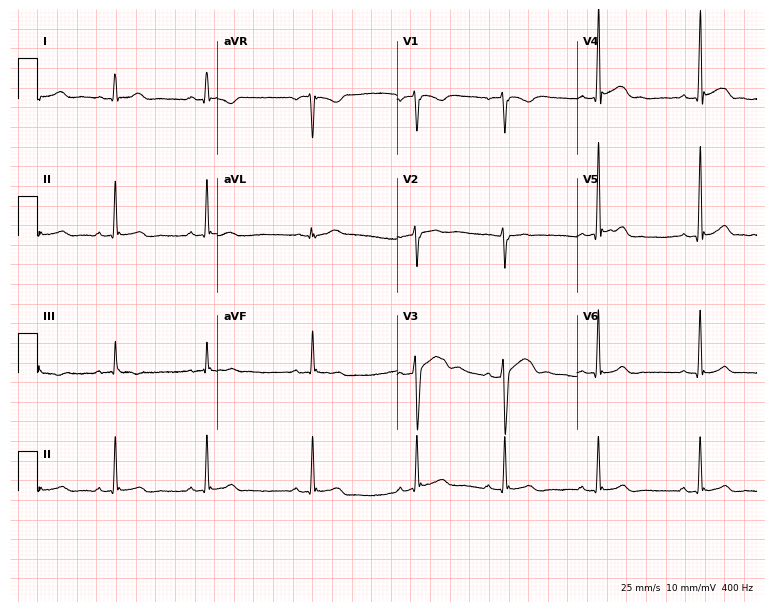
12-lead ECG from a male, 17 years old (7.3-second recording at 400 Hz). Recorded interpretation: within normal limits.